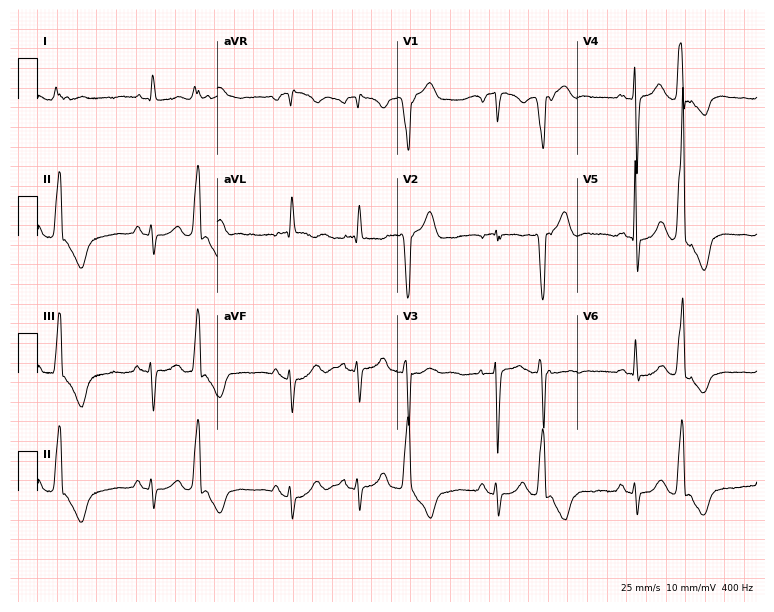
Resting 12-lead electrocardiogram (7.3-second recording at 400 Hz). Patient: an 84-year-old woman. None of these six findings is recorded: first-degree AV block, right bundle branch block, left bundle branch block, sinus bradycardia, atrial fibrillation, sinus tachycardia.